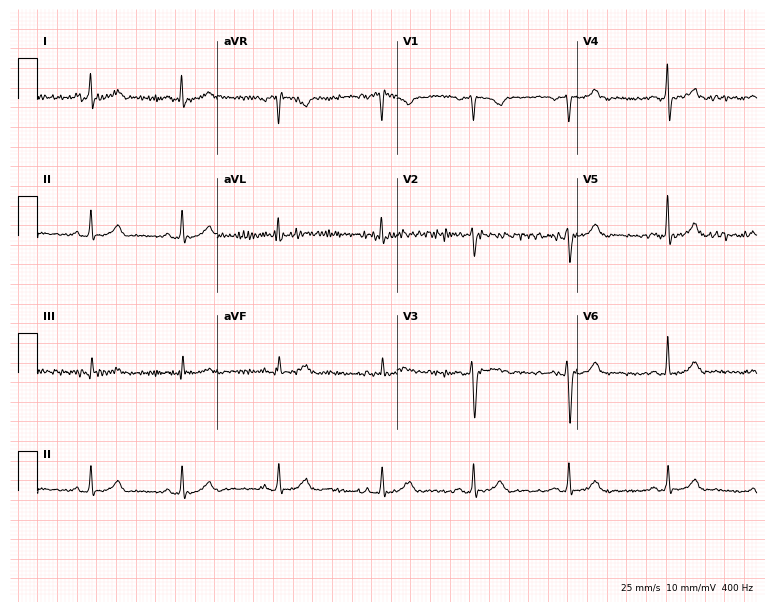
ECG (7.3-second recording at 400 Hz) — a woman, 52 years old. Labelled as a normal ECG.